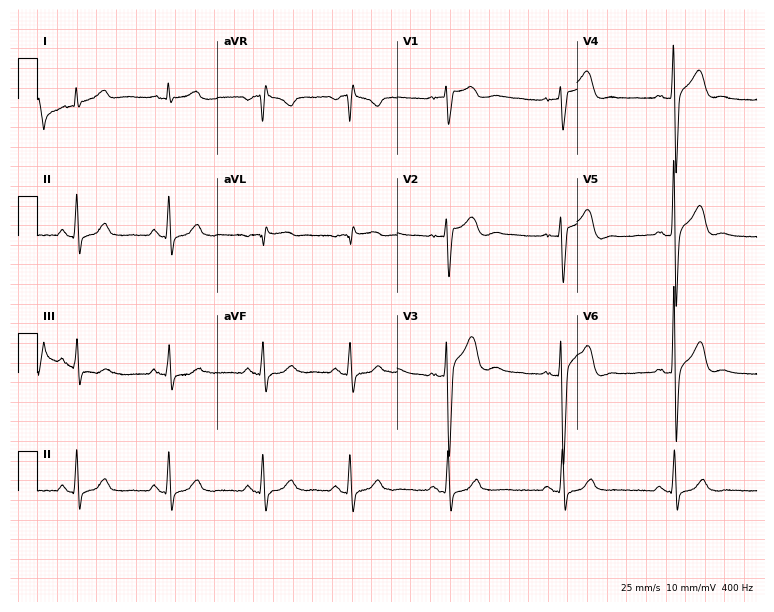
12-lead ECG from a 38-year-old male patient. Screened for six findings — first-degree AV block, right bundle branch block, left bundle branch block, sinus bradycardia, atrial fibrillation, sinus tachycardia — none is recorded. Only these six findings were labelled.